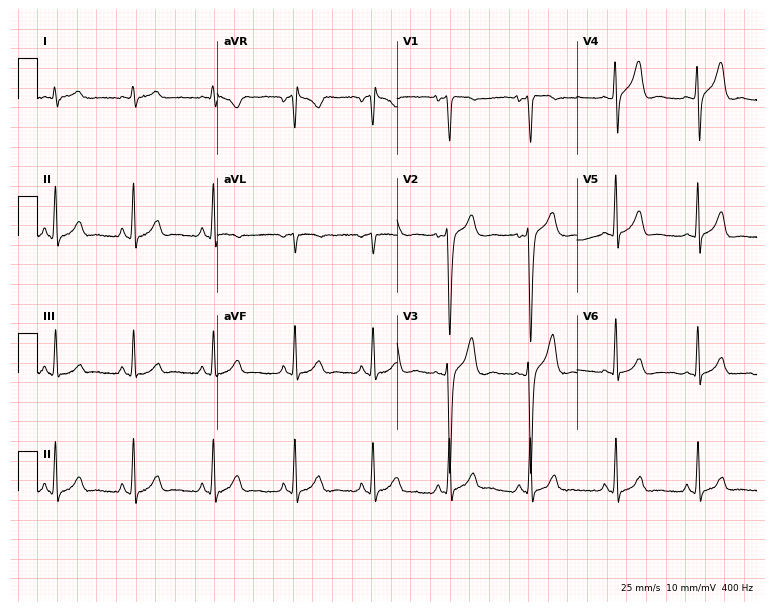
12-lead ECG (7.3-second recording at 400 Hz) from a 23-year-old man. Screened for six findings — first-degree AV block, right bundle branch block, left bundle branch block, sinus bradycardia, atrial fibrillation, sinus tachycardia — none is recorded.